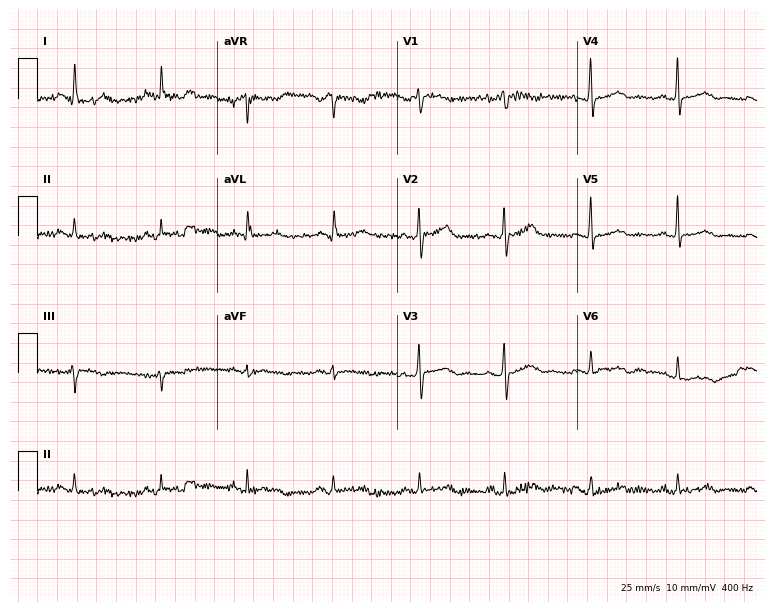
Resting 12-lead electrocardiogram. Patient: a female, 66 years old. None of these six findings is recorded: first-degree AV block, right bundle branch block (RBBB), left bundle branch block (LBBB), sinus bradycardia, atrial fibrillation (AF), sinus tachycardia.